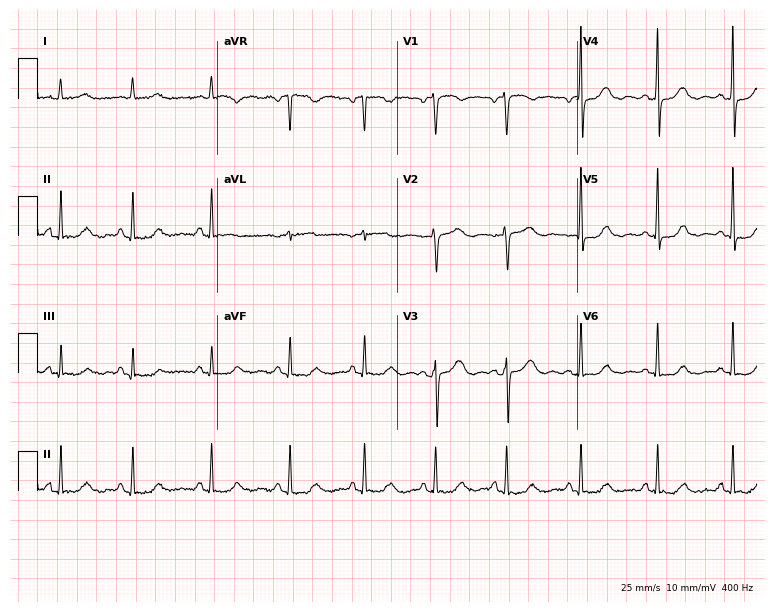
ECG — a woman, 41 years old. Labelled as a normal ECG.